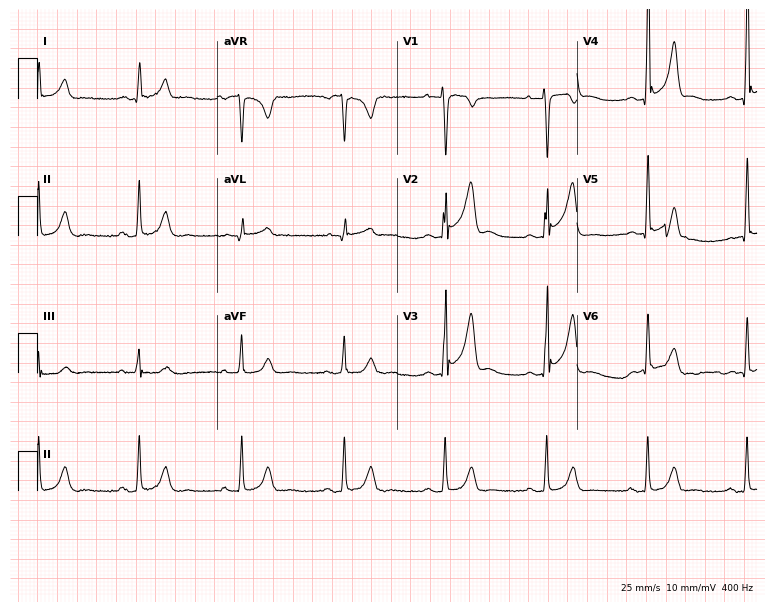
Electrocardiogram, a male patient, 31 years old. Of the six screened findings (first-degree AV block, right bundle branch block, left bundle branch block, sinus bradycardia, atrial fibrillation, sinus tachycardia), none is recorded.